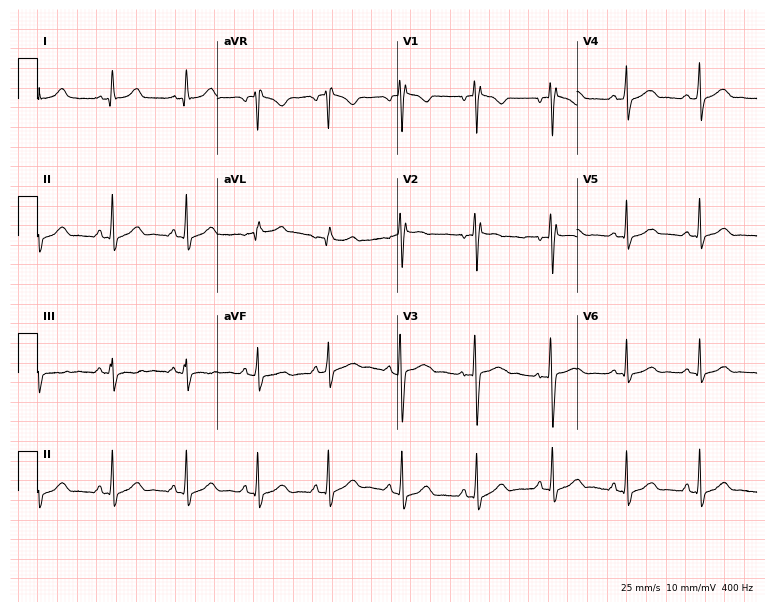
12-lead ECG (7.3-second recording at 400 Hz) from a woman, 33 years old. Screened for six findings — first-degree AV block, right bundle branch block, left bundle branch block, sinus bradycardia, atrial fibrillation, sinus tachycardia — none is recorded.